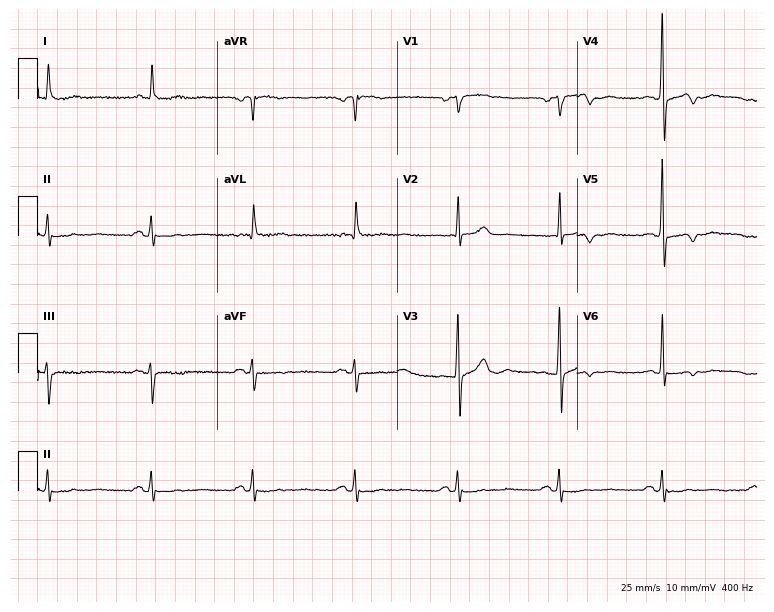
ECG (7.3-second recording at 400 Hz) — a male, 67 years old. Screened for six findings — first-degree AV block, right bundle branch block, left bundle branch block, sinus bradycardia, atrial fibrillation, sinus tachycardia — none is recorded. Findings outside these six are not listed.